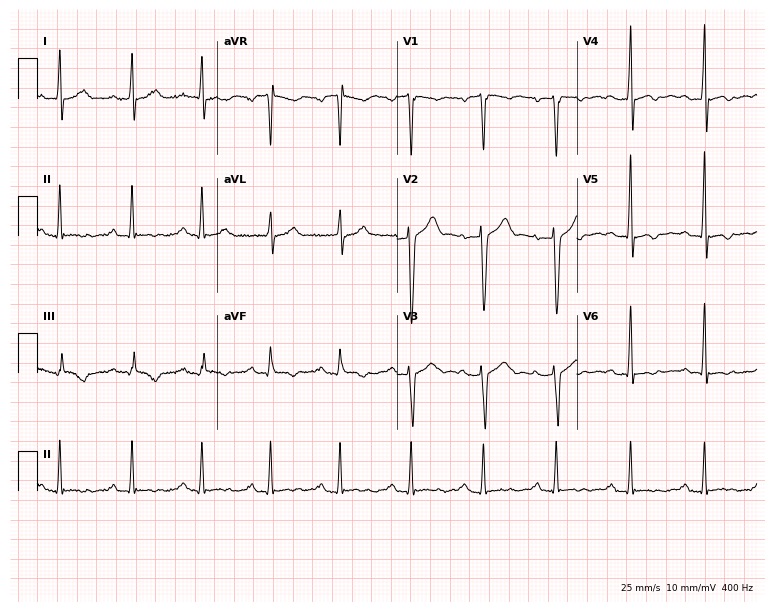
12-lead ECG from a male patient, 41 years old. Shows first-degree AV block.